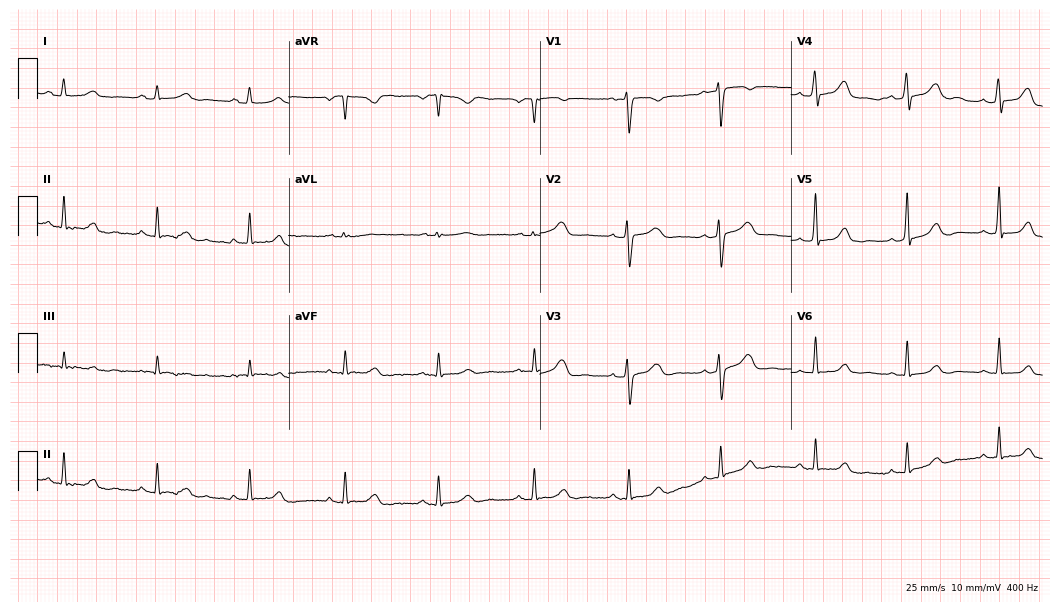
Resting 12-lead electrocardiogram (10.2-second recording at 400 Hz). Patient: a 42-year-old woman. Read as a normal ECG.